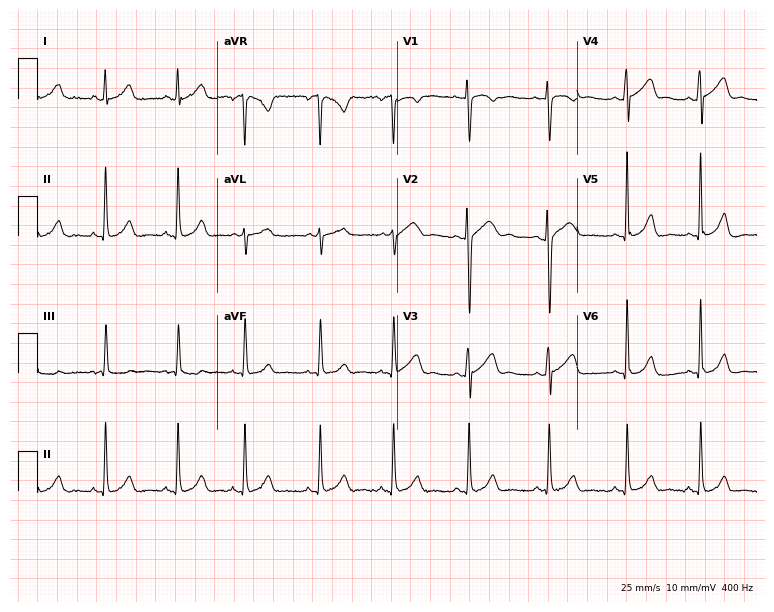
ECG (7.3-second recording at 400 Hz) — a 24-year-old female patient. Screened for six findings — first-degree AV block, right bundle branch block (RBBB), left bundle branch block (LBBB), sinus bradycardia, atrial fibrillation (AF), sinus tachycardia — none is recorded. Findings outside these six are not listed.